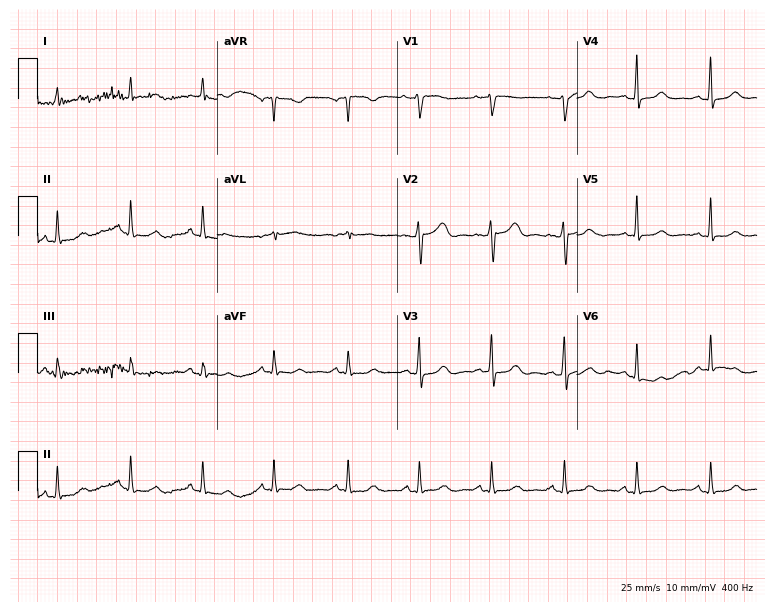
12-lead ECG (7.3-second recording at 400 Hz) from a 52-year-old female. Screened for six findings — first-degree AV block, right bundle branch block (RBBB), left bundle branch block (LBBB), sinus bradycardia, atrial fibrillation (AF), sinus tachycardia — none is recorded.